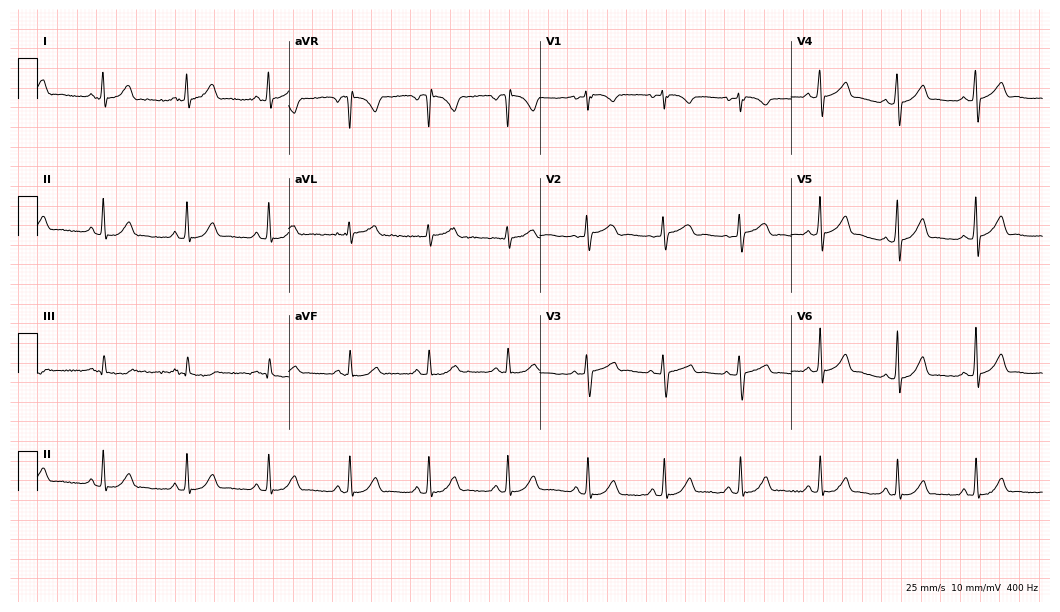
Resting 12-lead electrocardiogram (10.2-second recording at 400 Hz). Patient: a female, 28 years old. Read as a normal ECG.